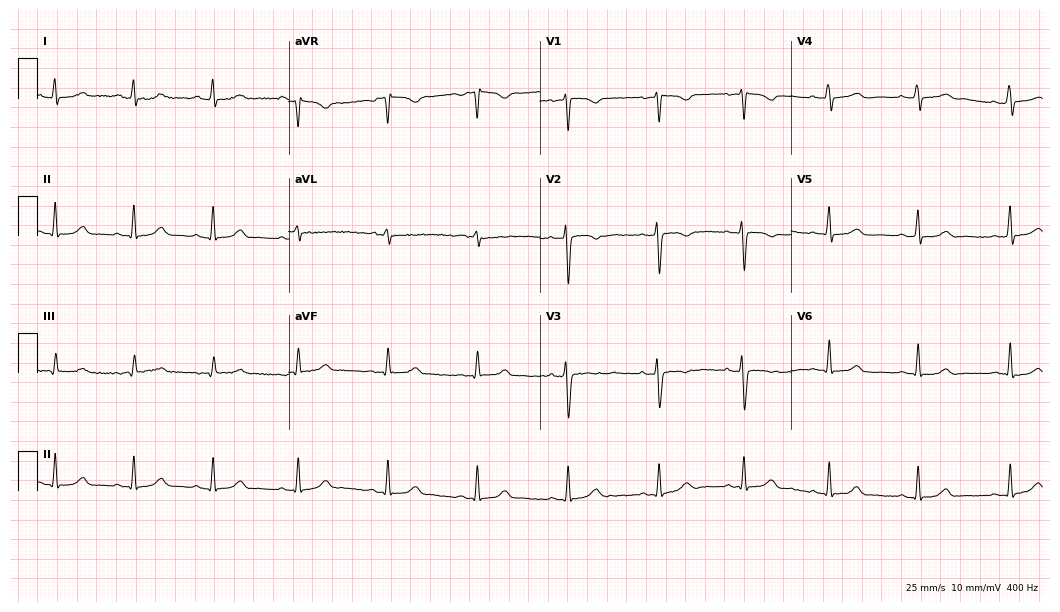
12-lead ECG from a woman, 36 years old (10.2-second recording at 400 Hz). No first-degree AV block, right bundle branch block (RBBB), left bundle branch block (LBBB), sinus bradycardia, atrial fibrillation (AF) or sinus tachycardia recorded for this tracing.